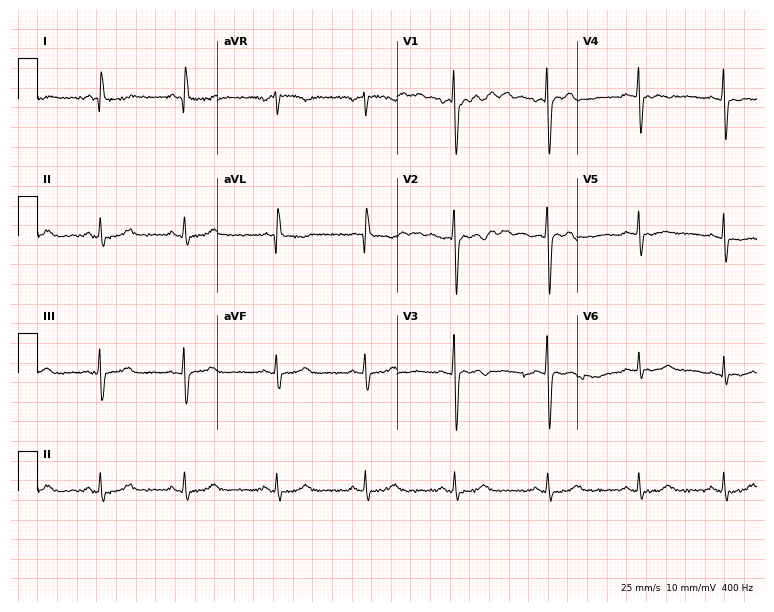
12-lead ECG from a 46-year-old female. Recorded interpretation: within normal limits.